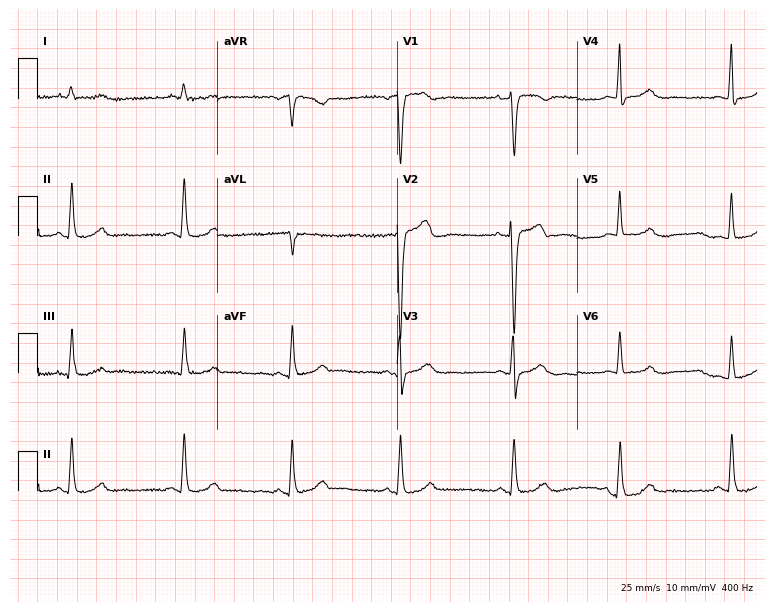
Standard 12-lead ECG recorded from a female patient, 43 years old. Read as a normal ECG.